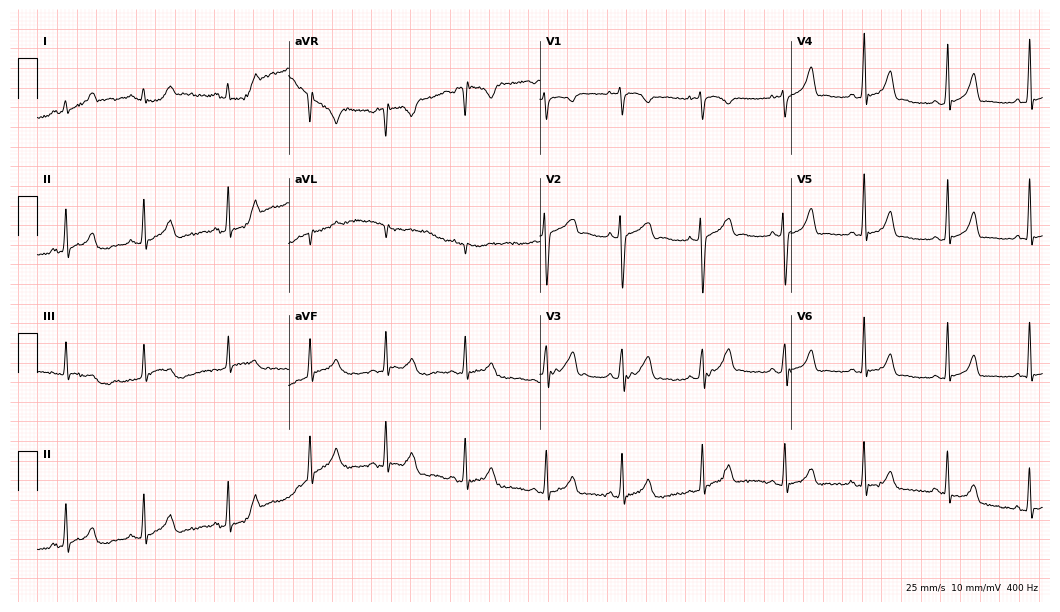
Resting 12-lead electrocardiogram (10.2-second recording at 400 Hz). Patient: a female, 27 years old. Read as a normal ECG.